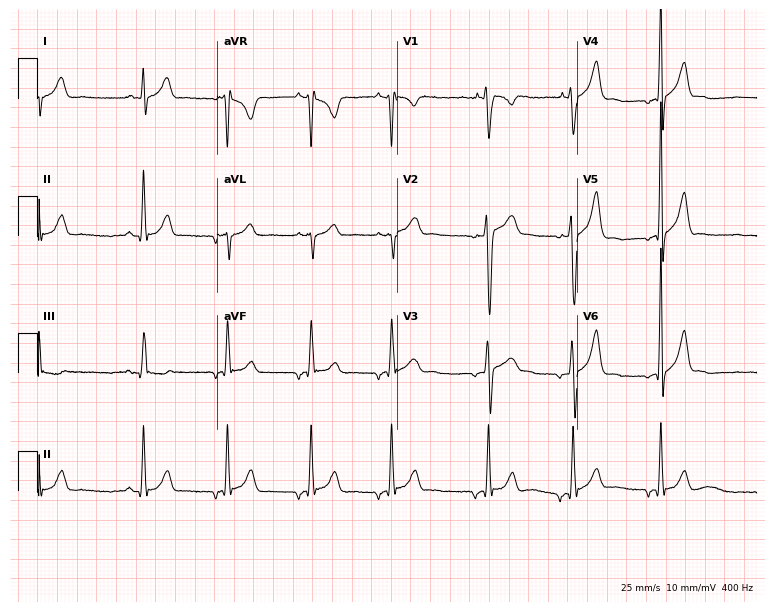
Electrocardiogram, a 17-year-old male. Overall reading on record: normal ECG.